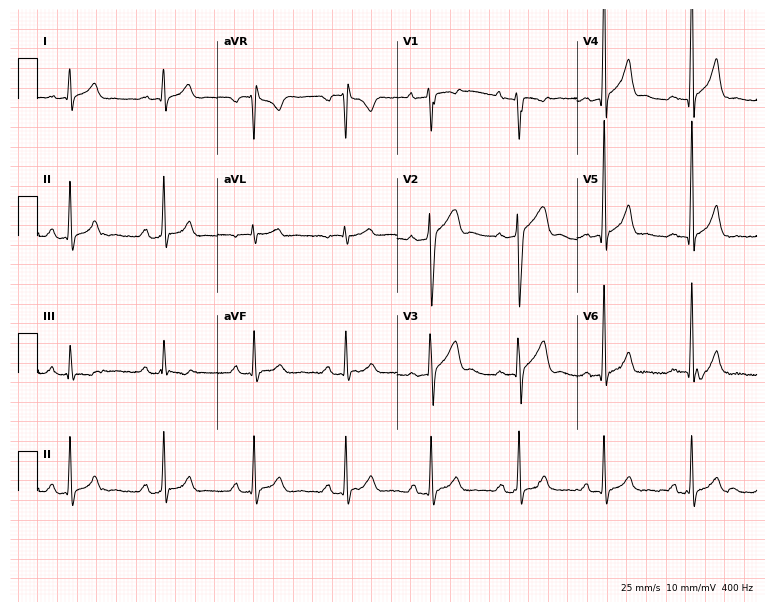
Electrocardiogram (7.3-second recording at 400 Hz), a male patient, 31 years old. Of the six screened findings (first-degree AV block, right bundle branch block (RBBB), left bundle branch block (LBBB), sinus bradycardia, atrial fibrillation (AF), sinus tachycardia), none is recorded.